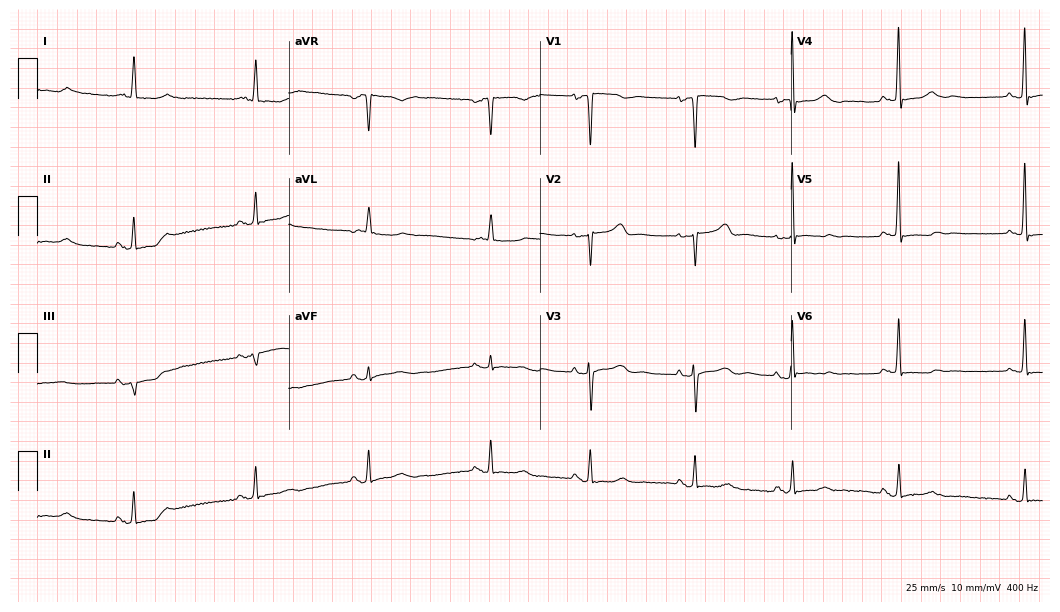
ECG — a woman, 79 years old. Screened for six findings — first-degree AV block, right bundle branch block (RBBB), left bundle branch block (LBBB), sinus bradycardia, atrial fibrillation (AF), sinus tachycardia — none is recorded. Other findings, if any, are not listed.